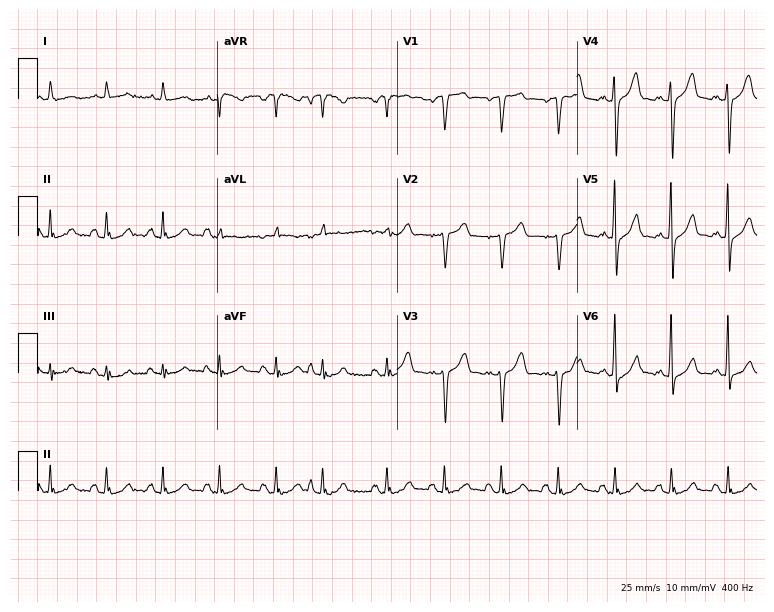
Standard 12-lead ECG recorded from a 77-year-old male. The tracing shows sinus tachycardia (a sinus rate of 100 beats per minute or more).